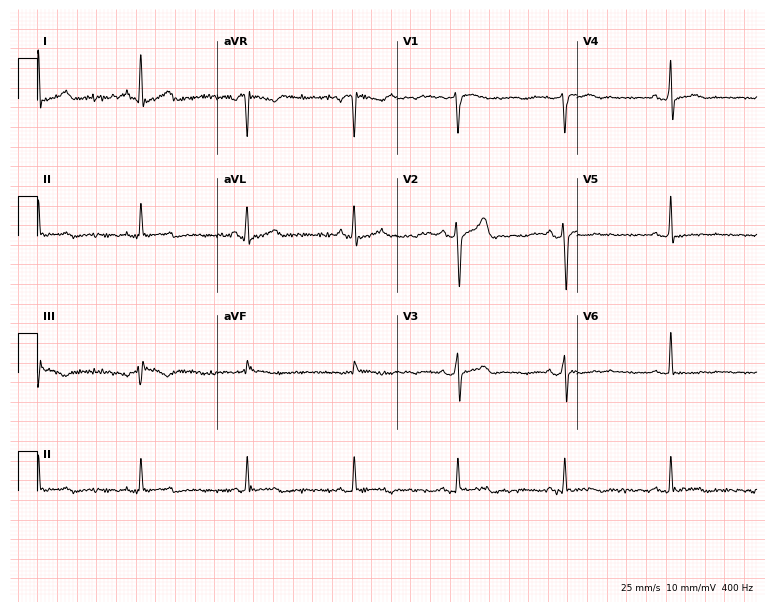
Resting 12-lead electrocardiogram (7.3-second recording at 400 Hz). Patient: a male, 39 years old. None of these six findings is recorded: first-degree AV block, right bundle branch block, left bundle branch block, sinus bradycardia, atrial fibrillation, sinus tachycardia. Other findings, if any, are not listed.